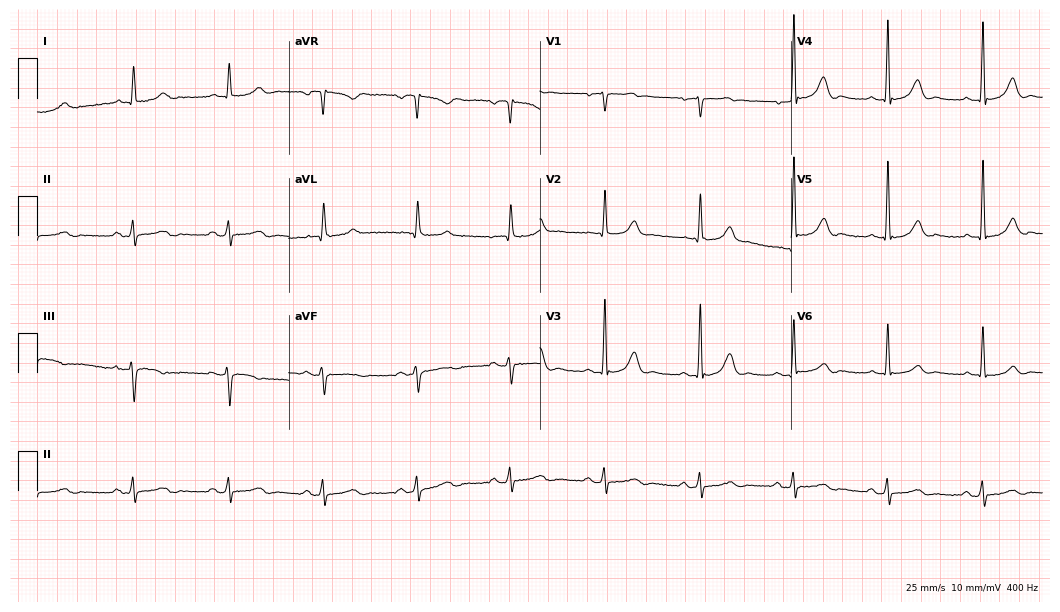
Standard 12-lead ECG recorded from a 77-year-old male patient (10.2-second recording at 400 Hz). None of these six findings is recorded: first-degree AV block, right bundle branch block, left bundle branch block, sinus bradycardia, atrial fibrillation, sinus tachycardia. Findings outside these six are not listed.